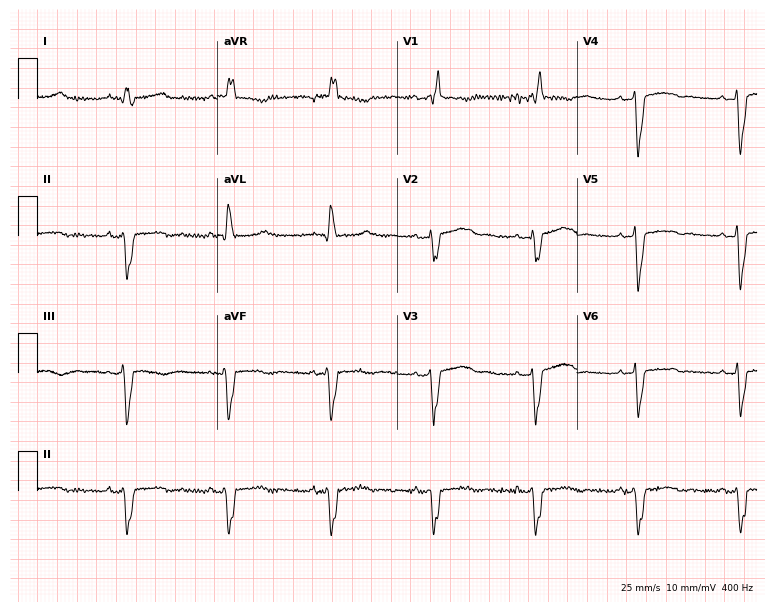
Resting 12-lead electrocardiogram. Patient: a 37-year-old man. The tracing shows right bundle branch block.